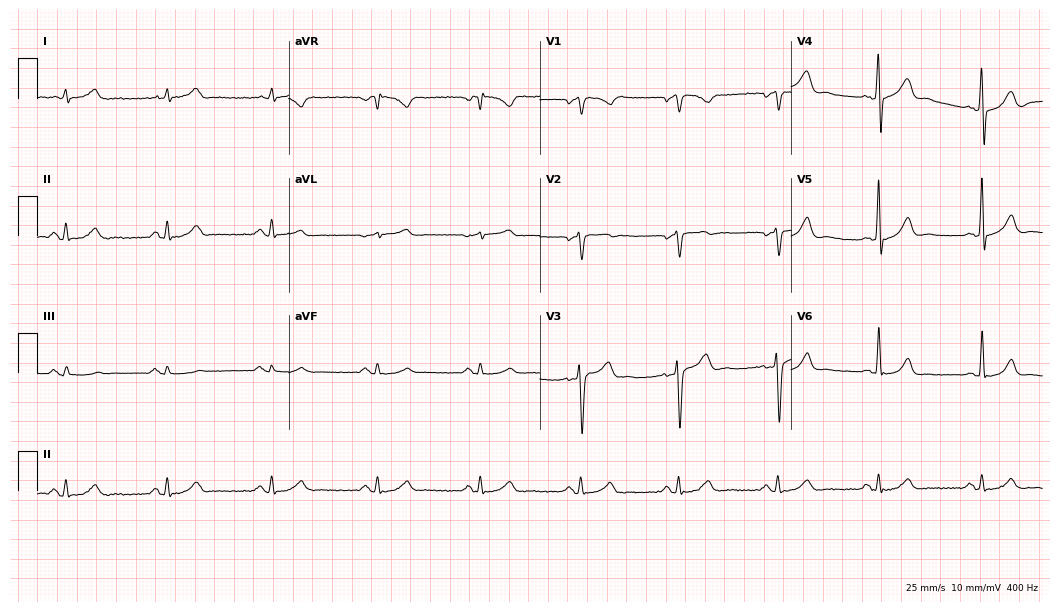
ECG — a male patient, 47 years old. Labelled as a normal ECG.